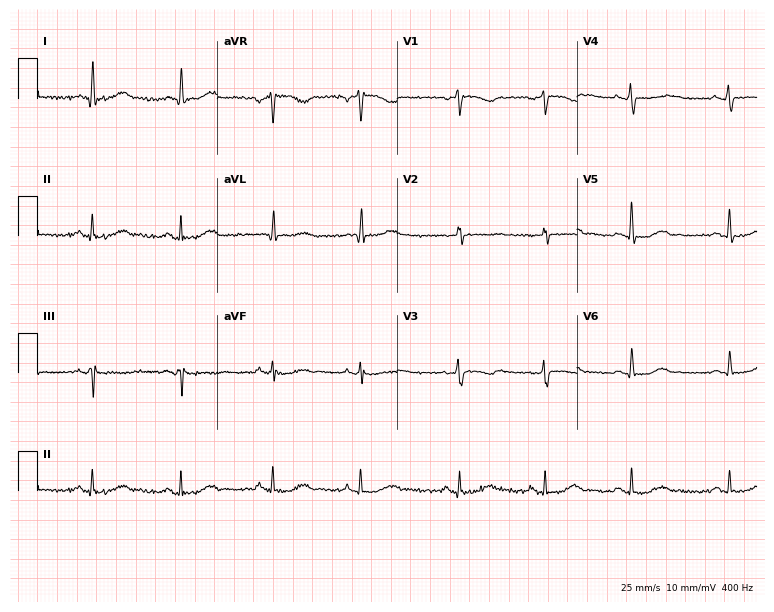
12-lead ECG from a female, 64 years old. Screened for six findings — first-degree AV block, right bundle branch block (RBBB), left bundle branch block (LBBB), sinus bradycardia, atrial fibrillation (AF), sinus tachycardia — none is recorded. Other findings, if any, are not listed.